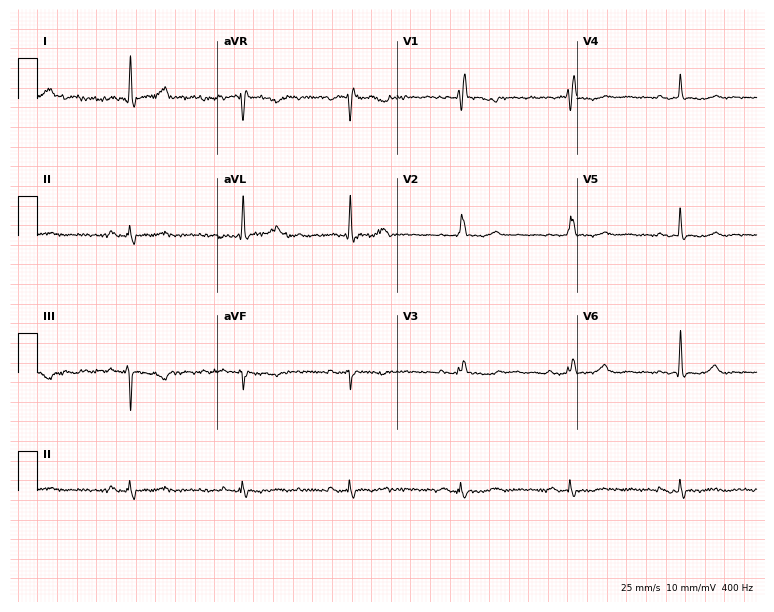
12-lead ECG from a 60-year-old woman. Screened for six findings — first-degree AV block, right bundle branch block (RBBB), left bundle branch block (LBBB), sinus bradycardia, atrial fibrillation (AF), sinus tachycardia — none is recorded.